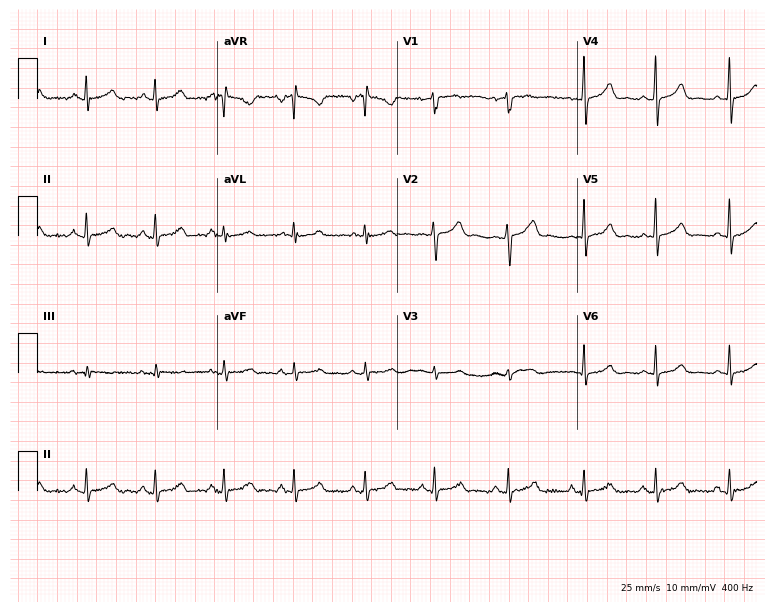
ECG (7.3-second recording at 400 Hz) — a female patient, 28 years old. Labelled as a normal ECG.